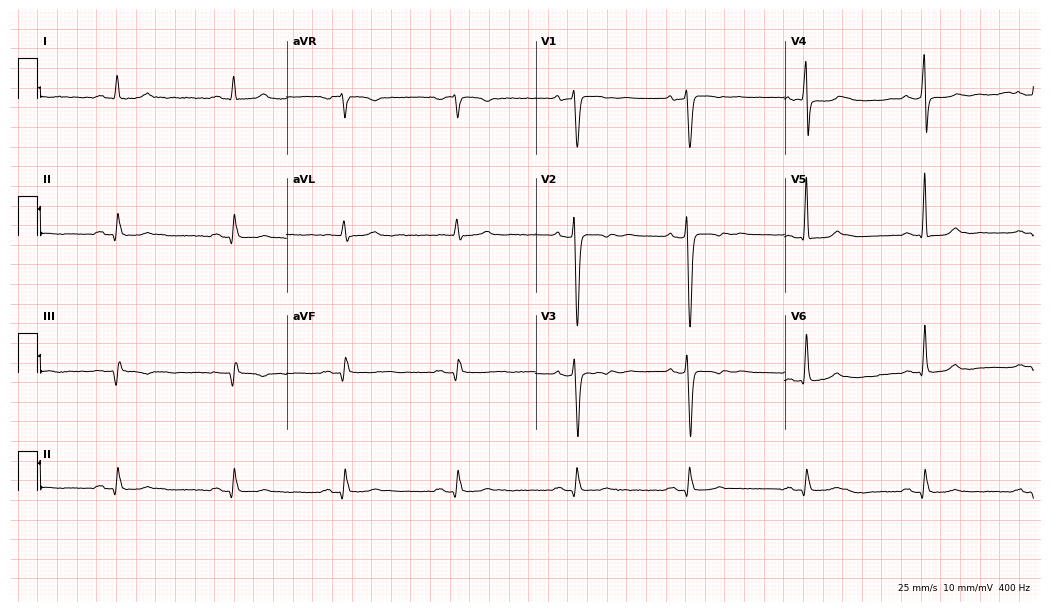
Electrocardiogram (10.2-second recording at 400 Hz), a 66-year-old male patient. Of the six screened findings (first-degree AV block, right bundle branch block, left bundle branch block, sinus bradycardia, atrial fibrillation, sinus tachycardia), none is recorded. Only these six findings were labelled.